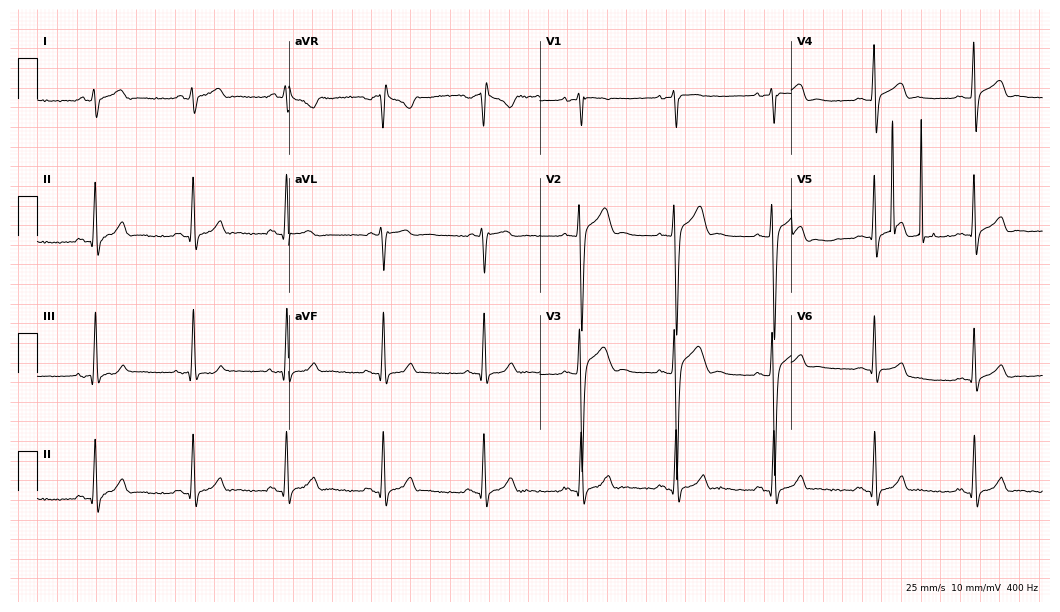
Standard 12-lead ECG recorded from a 19-year-old male patient. None of these six findings is recorded: first-degree AV block, right bundle branch block, left bundle branch block, sinus bradycardia, atrial fibrillation, sinus tachycardia. Only these six findings were labelled.